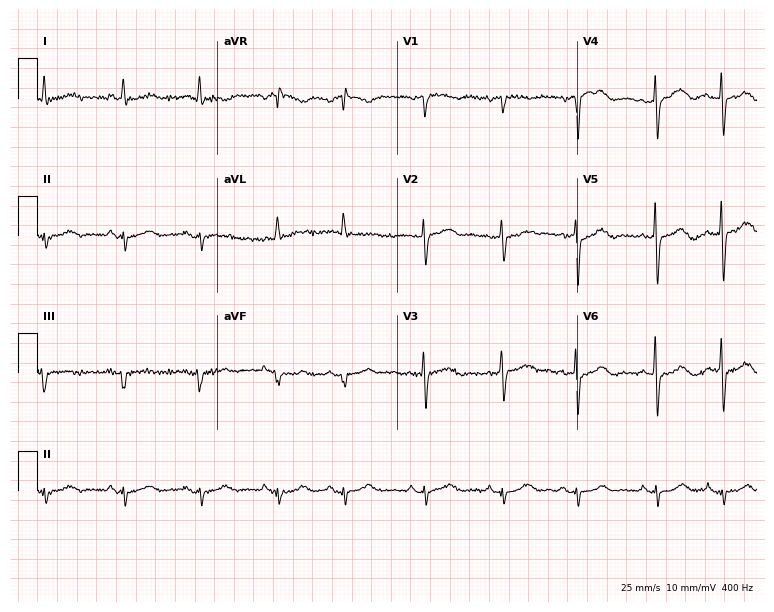
ECG (7.3-second recording at 400 Hz) — a 78-year-old female patient. Screened for six findings — first-degree AV block, right bundle branch block (RBBB), left bundle branch block (LBBB), sinus bradycardia, atrial fibrillation (AF), sinus tachycardia — none is recorded. Other findings, if any, are not listed.